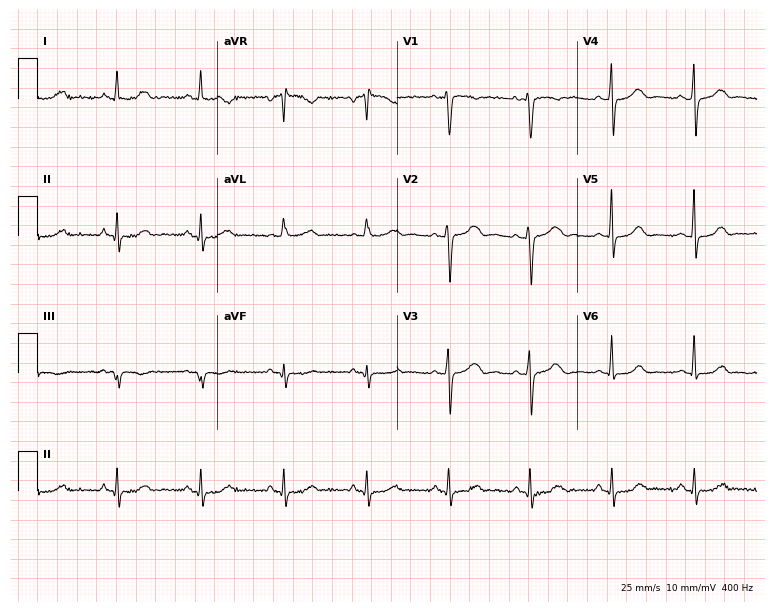
12-lead ECG from a 46-year-old female patient. No first-degree AV block, right bundle branch block, left bundle branch block, sinus bradycardia, atrial fibrillation or sinus tachycardia recorded for this tracing.